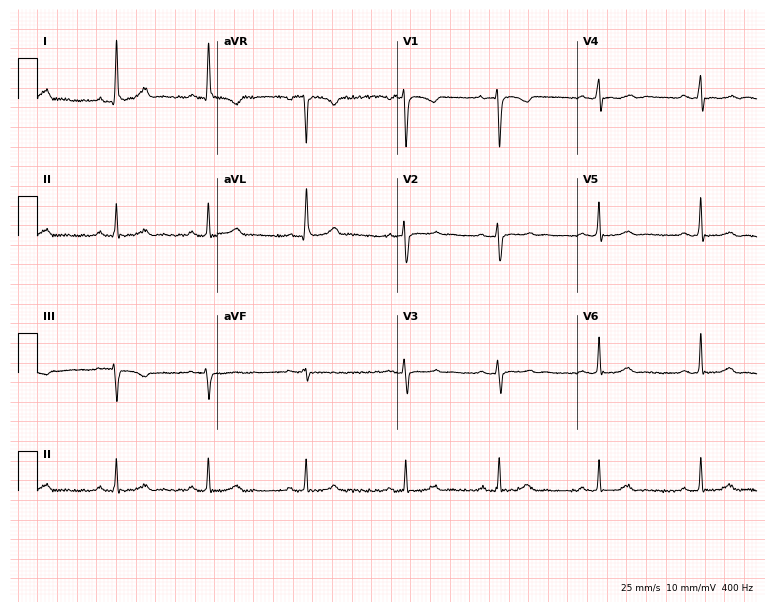
12-lead ECG from a 45-year-old woman. No first-degree AV block, right bundle branch block (RBBB), left bundle branch block (LBBB), sinus bradycardia, atrial fibrillation (AF) or sinus tachycardia recorded for this tracing.